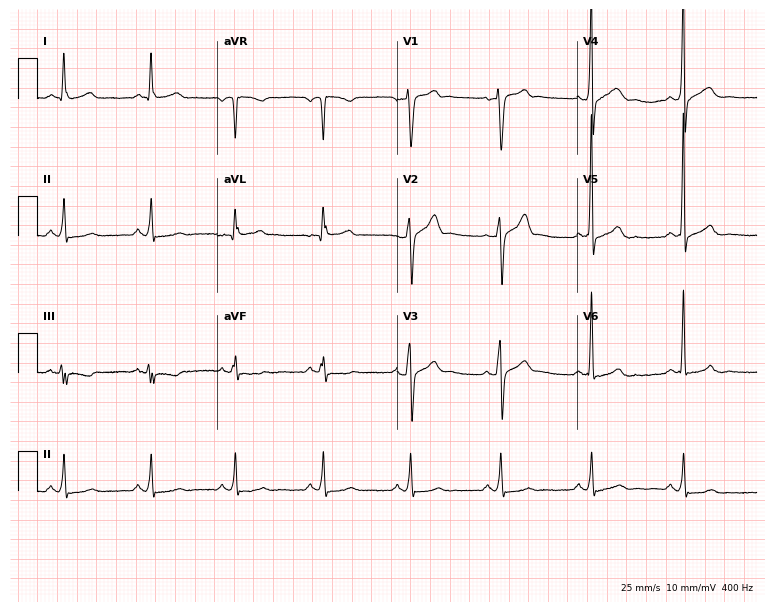
12-lead ECG from a 53-year-old man. Recorded interpretation: within normal limits.